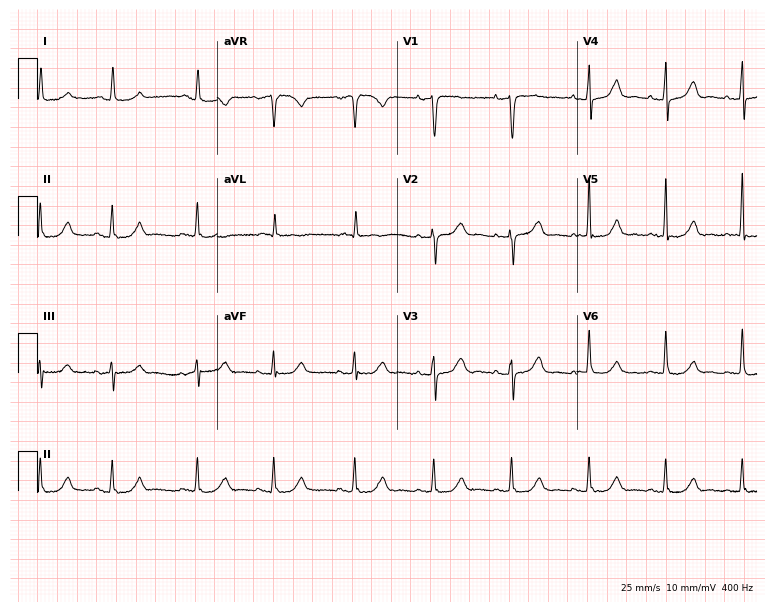
Electrocardiogram (7.3-second recording at 400 Hz), a female, 84 years old. Overall reading on record: normal ECG.